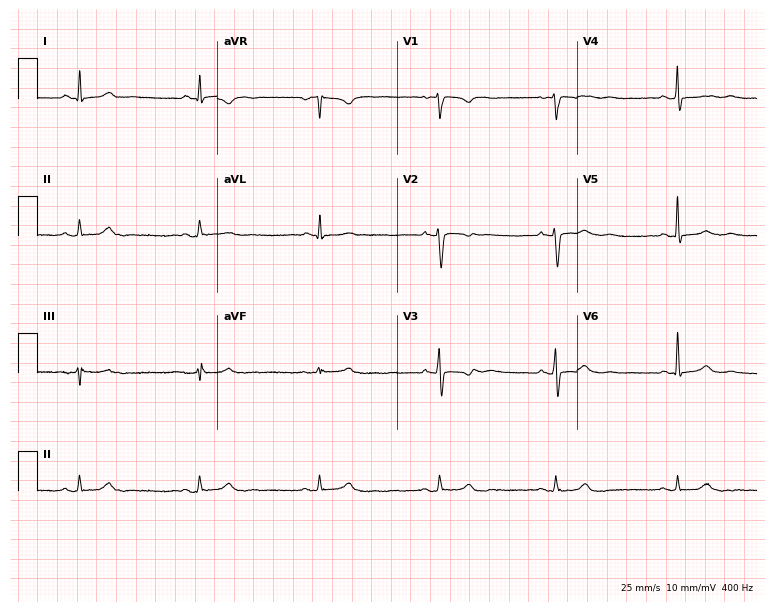
12-lead ECG from a woman, 46 years old. Findings include sinus bradycardia (a sinus rate of 50 beats per minute or less).